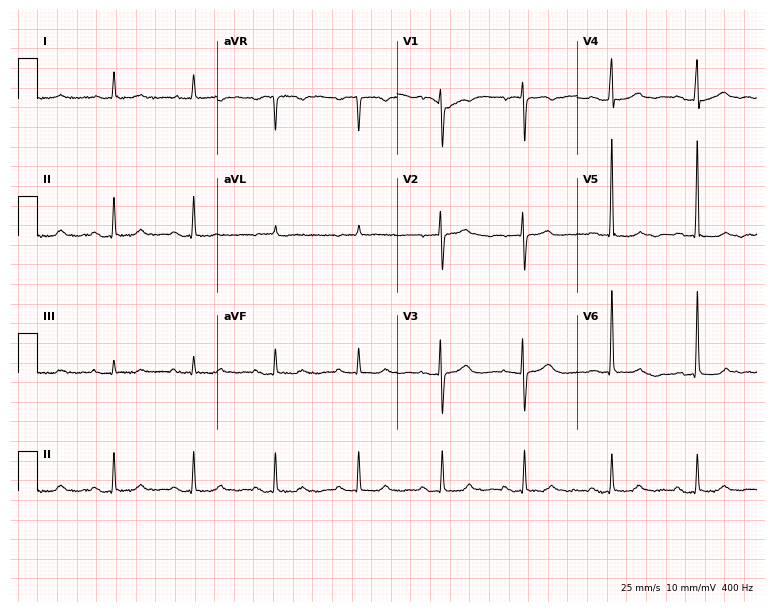
ECG (7.3-second recording at 400 Hz) — a woman, 83 years old. Labelled as a normal ECG.